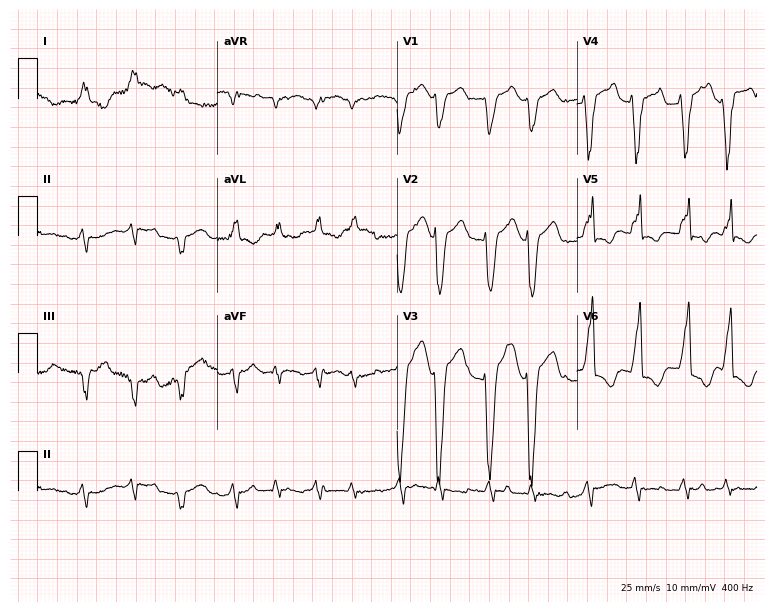
12-lead ECG from a man, 80 years old. Shows left bundle branch block, atrial fibrillation, sinus tachycardia (a sinus rate of 100 beats per minute or more).